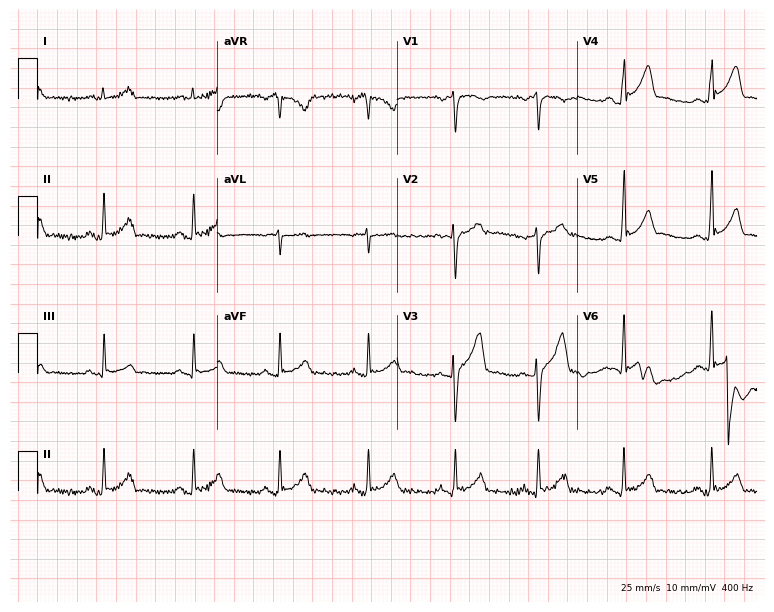
Standard 12-lead ECG recorded from a male patient, 28 years old. None of these six findings is recorded: first-degree AV block, right bundle branch block, left bundle branch block, sinus bradycardia, atrial fibrillation, sinus tachycardia. Other findings, if any, are not listed.